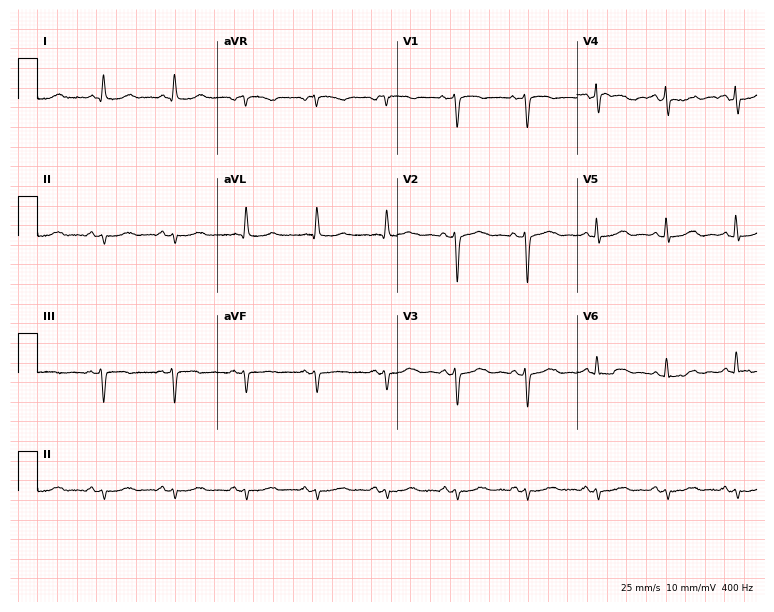
Resting 12-lead electrocardiogram. Patient: a female, 85 years old. None of these six findings is recorded: first-degree AV block, right bundle branch block, left bundle branch block, sinus bradycardia, atrial fibrillation, sinus tachycardia. Findings outside these six are not listed.